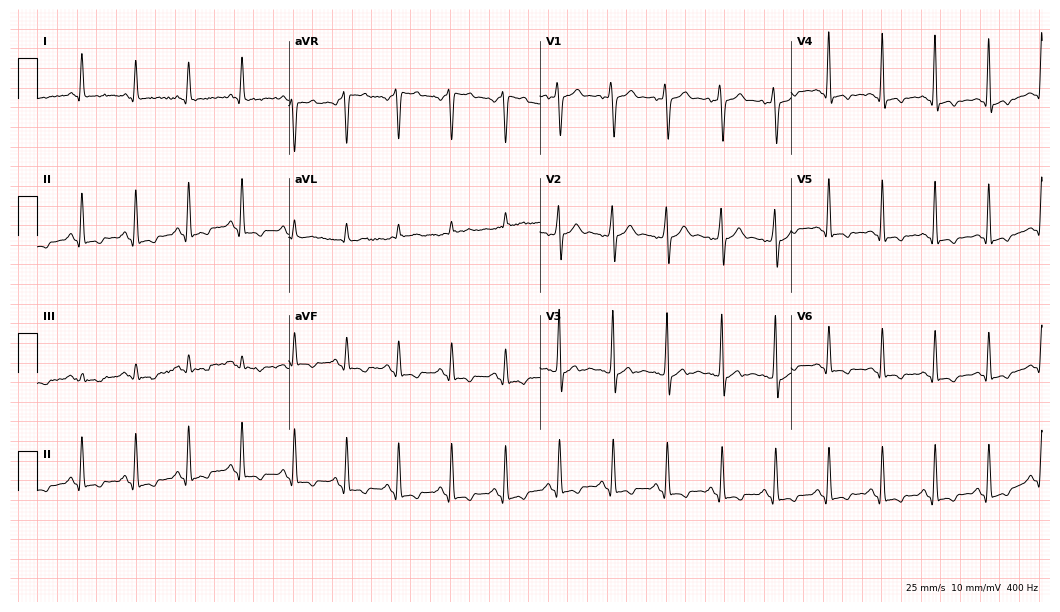
Electrocardiogram (10.2-second recording at 400 Hz), a male patient, 31 years old. Interpretation includes sinus tachycardia (a sinus rate of 100 beats per minute or more).